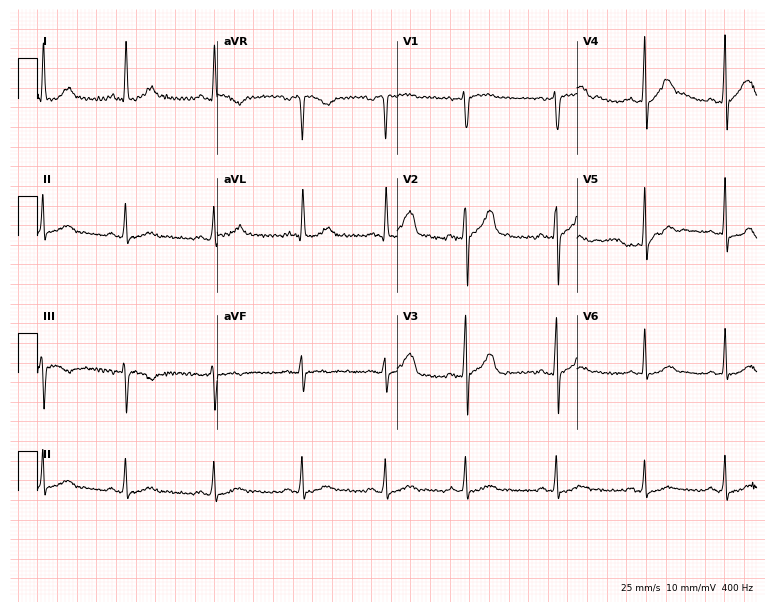
Resting 12-lead electrocardiogram (7.3-second recording at 400 Hz). Patient: a 30-year-old male. None of these six findings is recorded: first-degree AV block, right bundle branch block (RBBB), left bundle branch block (LBBB), sinus bradycardia, atrial fibrillation (AF), sinus tachycardia.